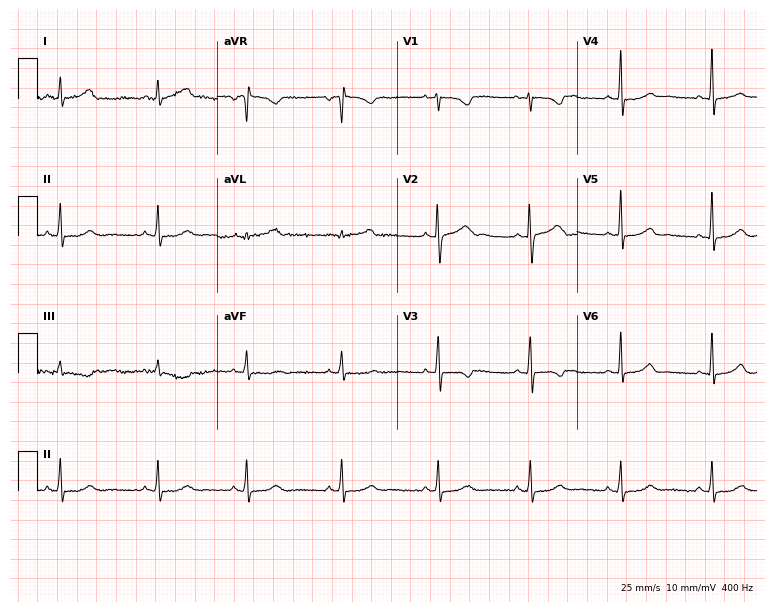
Standard 12-lead ECG recorded from a 26-year-old woman (7.3-second recording at 400 Hz). None of these six findings is recorded: first-degree AV block, right bundle branch block (RBBB), left bundle branch block (LBBB), sinus bradycardia, atrial fibrillation (AF), sinus tachycardia. Findings outside these six are not listed.